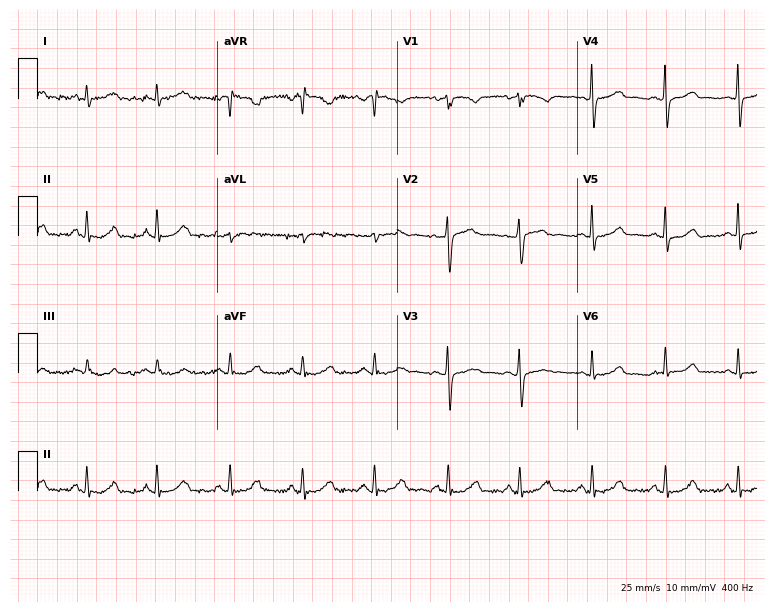
Resting 12-lead electrocardiogram. Patient: a 52-year-old woman. Read as a normal ECG.